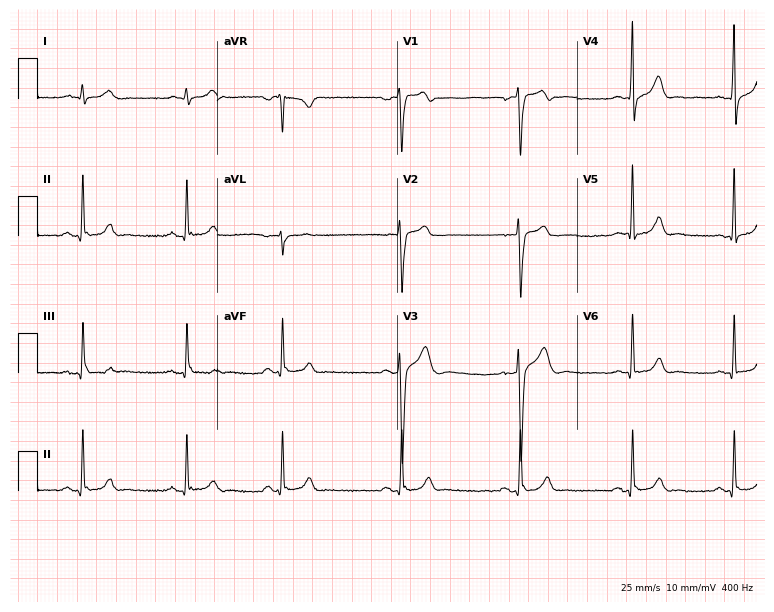
12-lead ECG from a male patient, 31 years old (7.3-second recording at 400 Hz). Recorded interpretation: within normal limits.